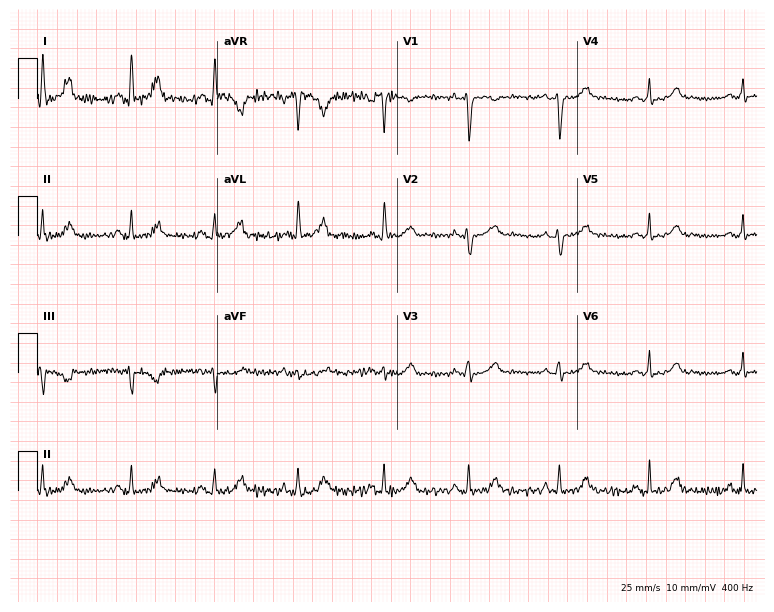
Electrocardiogram (7.3-second recording at 400 Hz), a 31-year-old female. Overall reading on record: normal ECG.